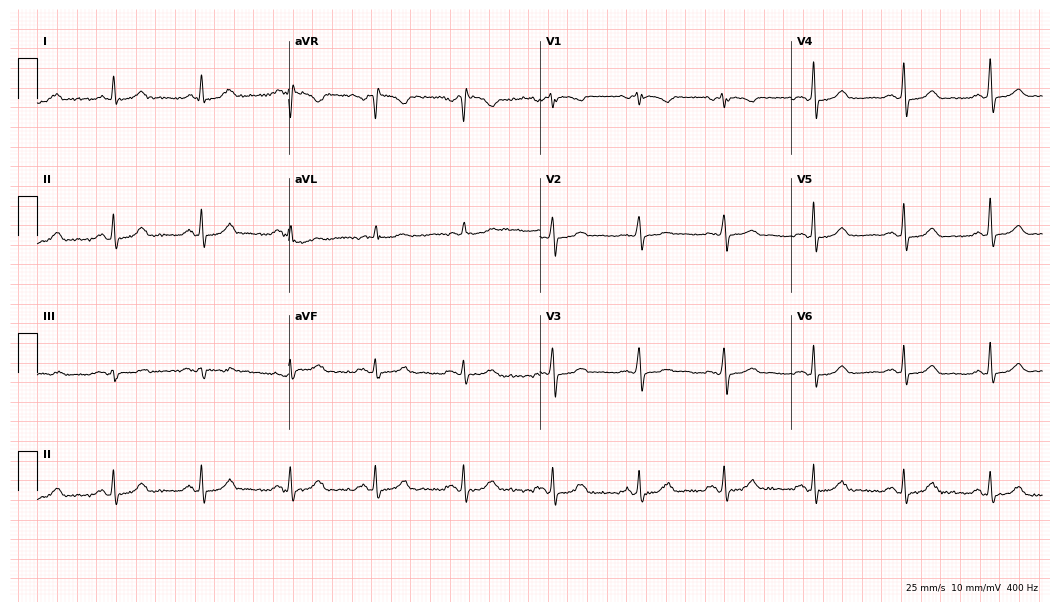
ECG (10.2-second recording at 400 Hz) — a woman, 64 years old. Labelled as a normal ECG.